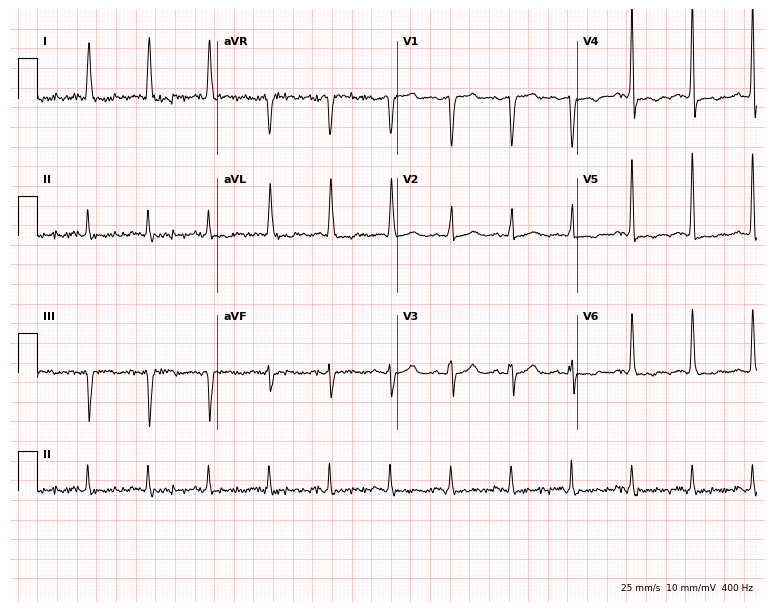
12-lead ECG from a 77-year-old woman (7.3-second recording at 400 Hz). No first-degree AV block, right bundle branch block, left bundle branch block, sinus bradycardia, atrial fibrillation or sinus tachycardia recorded for this tracing.